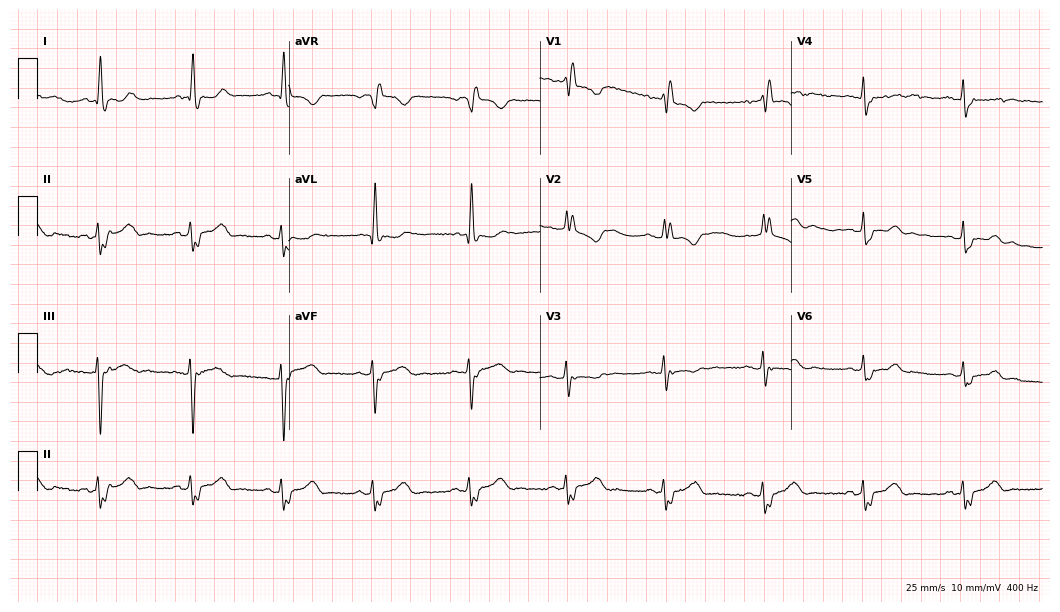
12-lead ECG (10.2-second recording at 400 Hz) from a 64-year-old female. Findings include right bundle branch block.